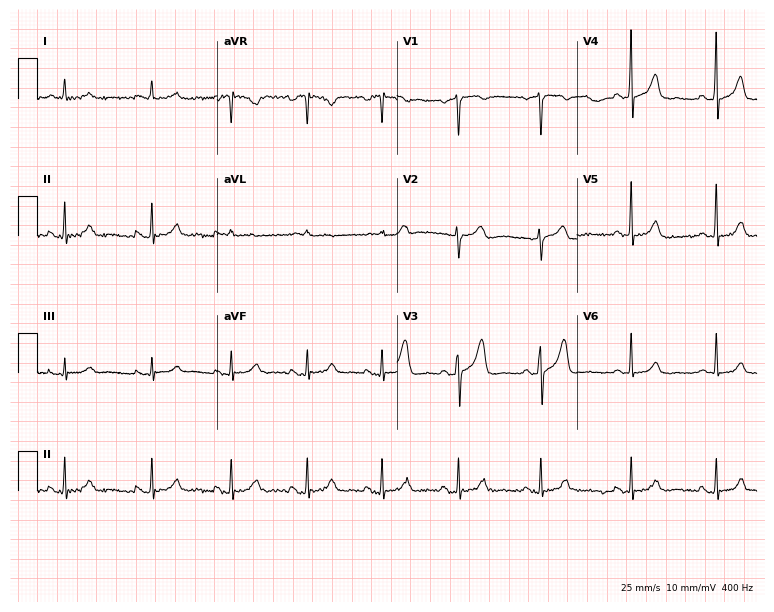
12-lead ECG from a male patient, 47 years old. Recorded interpretation: within normal limits.